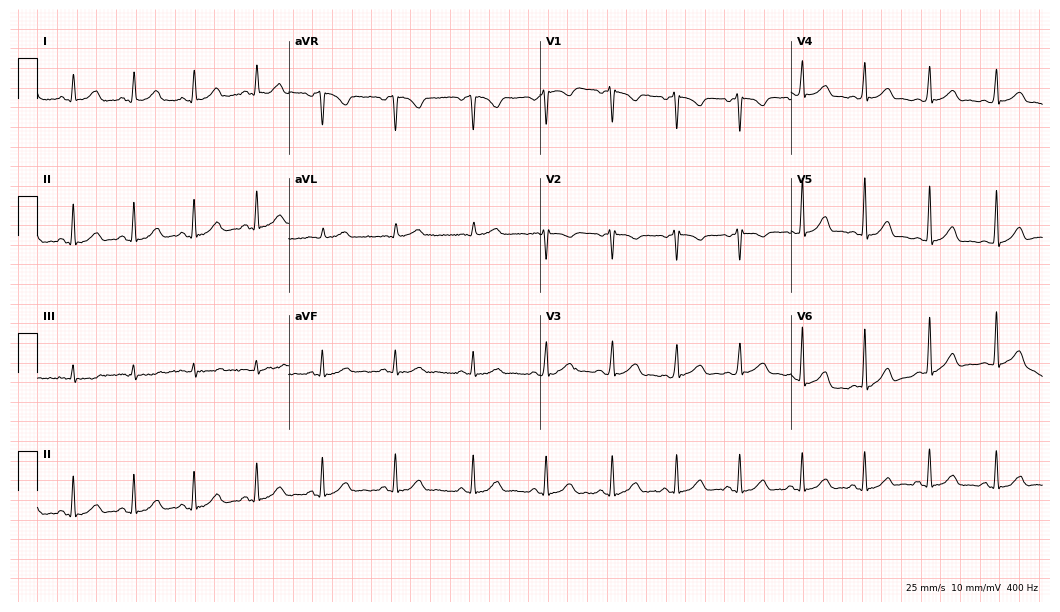
ECG — a female, 22 years old. Labelled as a normal ECG.